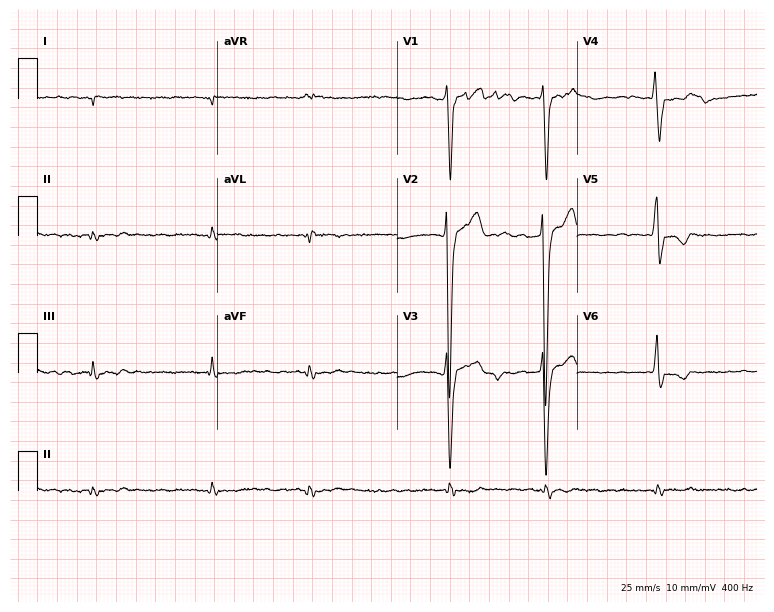
ECG — a 56-year-old male patient. Findings include atrial fibrillation.